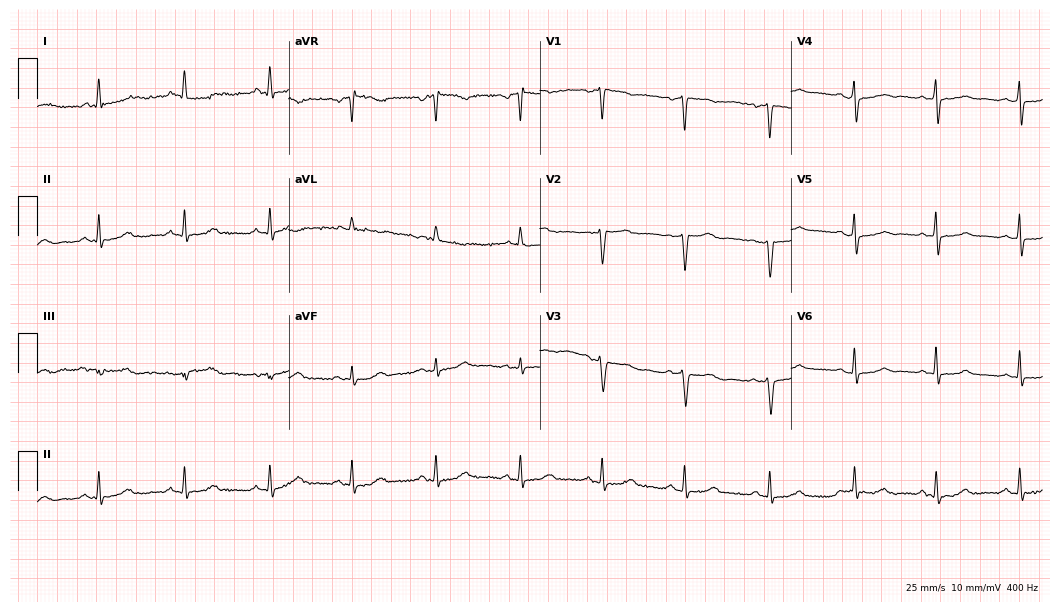
Standard 12-lead ECG recorded from a female patient, 54 years old (10.2-second recording at 400 Hz). Read as a normal ECG.